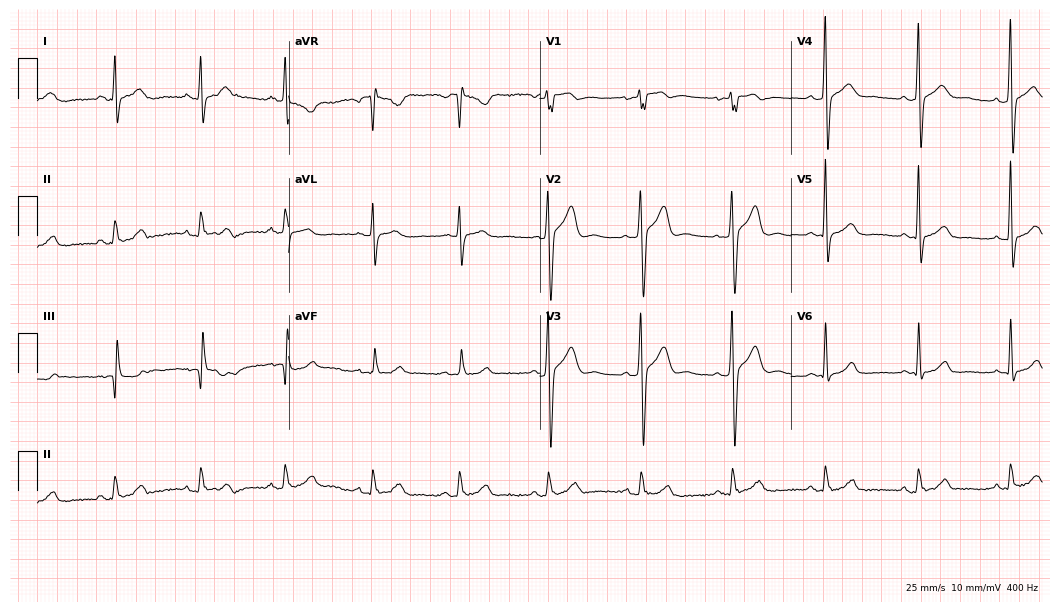
ECG (10.2-second recording at 400 Hz) — a 33-year-old male. Screened for six findings — first-degree AV block, right bundle branch block, left bundle branch block, sinus bradycardia, atrial fibrillation, sinus tachycardia — none is recorded.